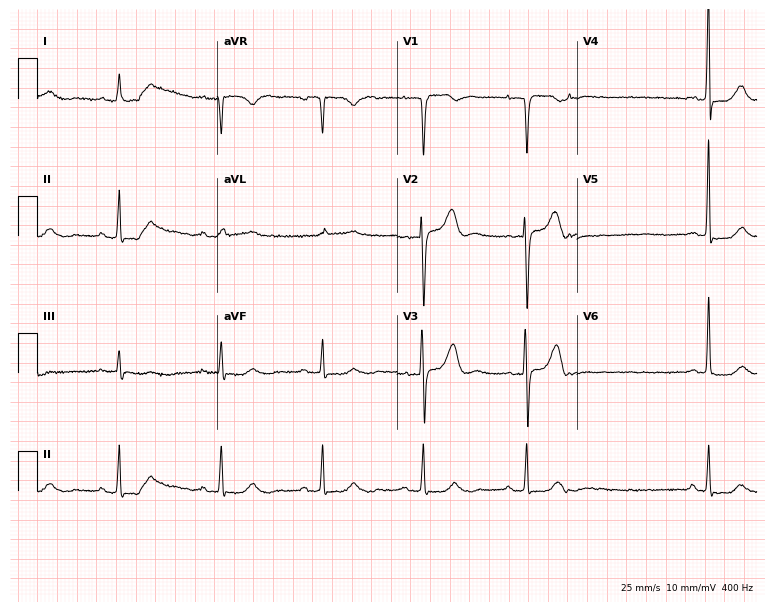
12-lead ECG (7.3-second recording at 400 Hz) from a man, 77 years old. Labelled as a normal ECG.